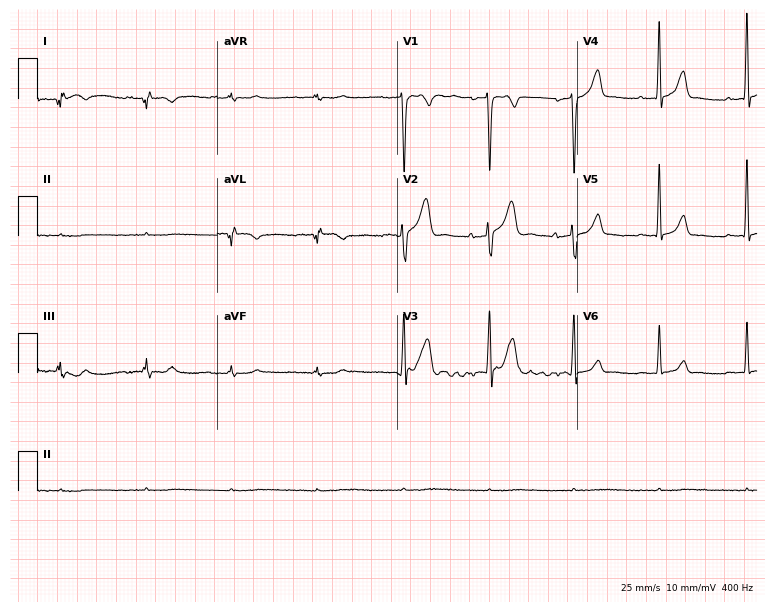
12-lead ECG (7.3-second recording at 400 Hz) from a man, 50 years old. Screened for six findings — first-degree AV block, right bundle branch block, left bundle branch block, sinus bradycardia, atrial fibrillation, sinus tachycardia — none is recorded.